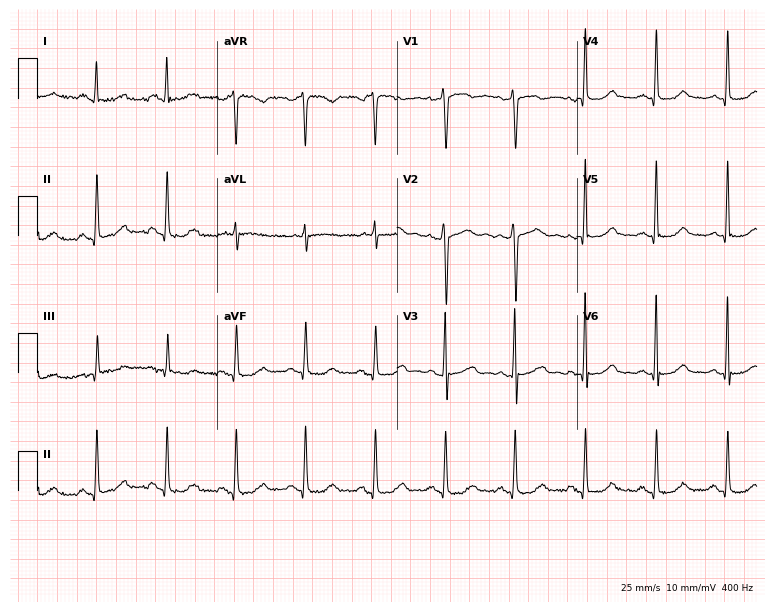
Electrocardiogram, a 58-year-old female patient. Overall reading on record: normal ECG.